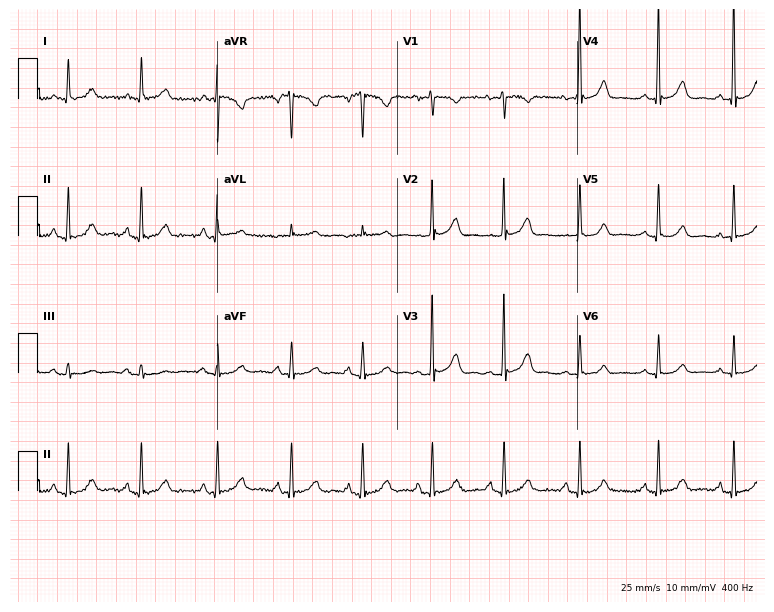
12-lead ECG from a female patient, 64 years old. Screened for six findings — first-degree AV block, right bundle branch block, left bundle branch block, sinus bradycardia, atrial fibrillation, sinus tachycardia — none is recorded. Other findings, if any, are not listed.